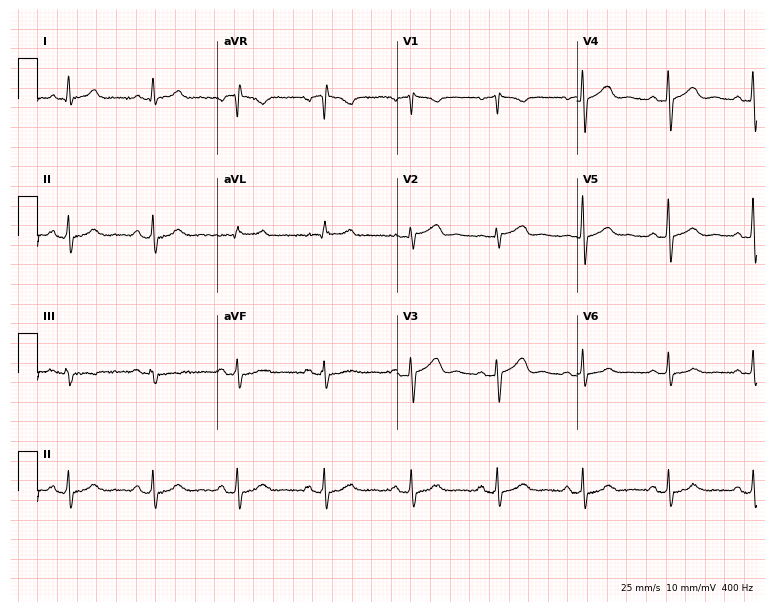
Resting 12-lead electrocardiogram (7.3-second recording at 400 Hz). Patient: a 63-year-old female. Read as a normal ECG.